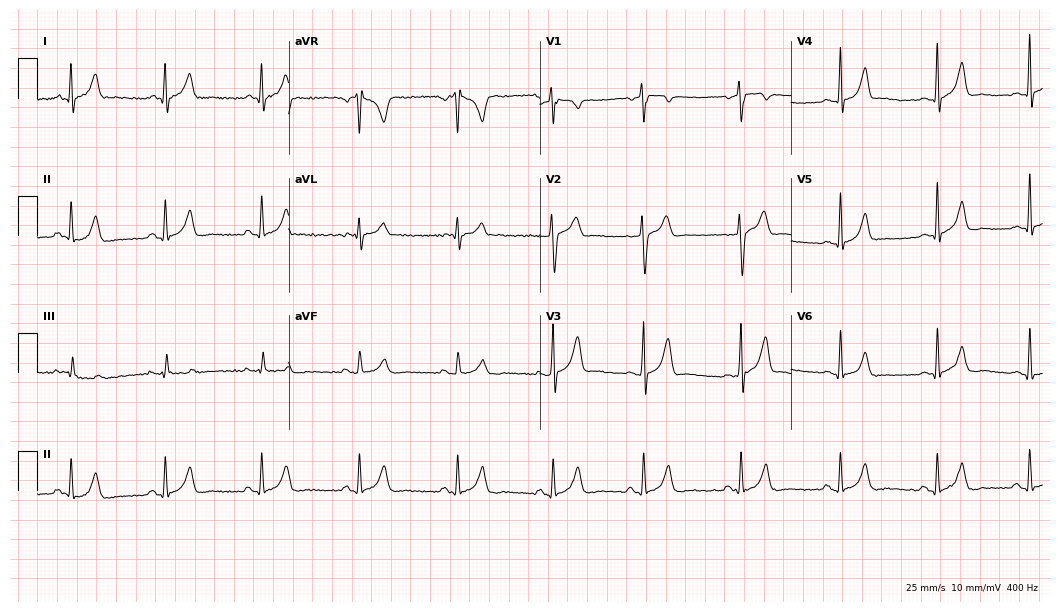
12-lead ECG from a male patient, 20 years old. Labelled as a normal ECG.